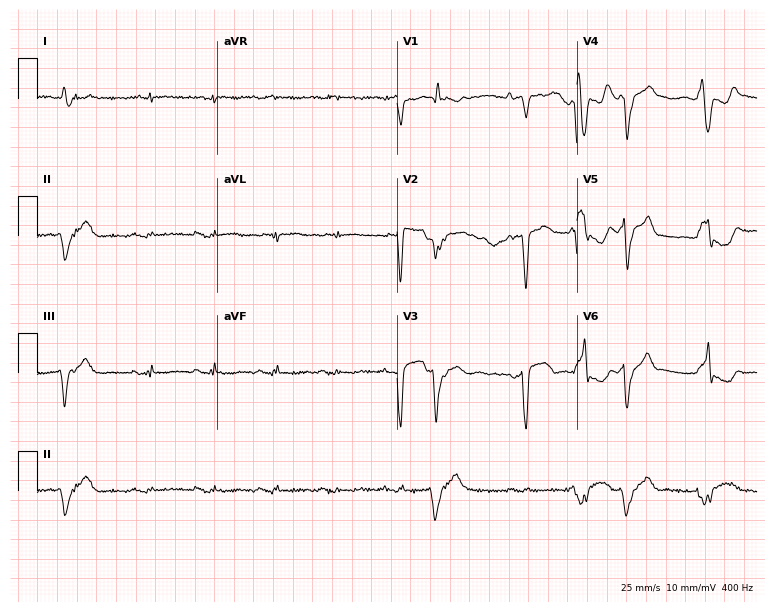
Standard 12-lead ECG recorded from a male, 40 years old (7.3-second recording at 400 Hz). None of these six findings is recorded: first-degree AV block, right bundle branch block (RBBB), left bundle branch block (LBBB), sinus bradycardia, atrial fibrillation (AF), sinus tachycardia. Other findings, if any, are not listed.